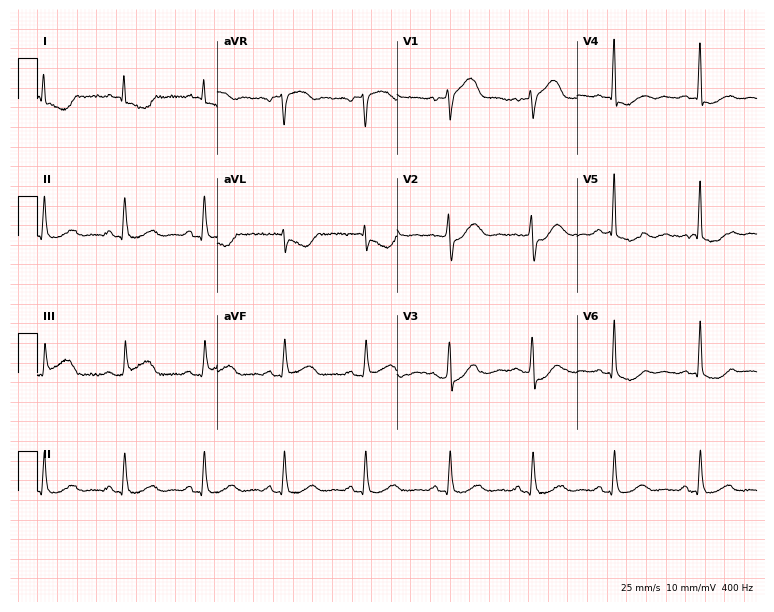
Electrocardiogram, a female patient, 55 years old. Of the six screened findings (first-degree AV block, right bundle branch block, left bundle branch block, sinus bradycardia, atrial fibrillation, sinus tachycardia), none is recorded. Other findings, if any, are not listed.